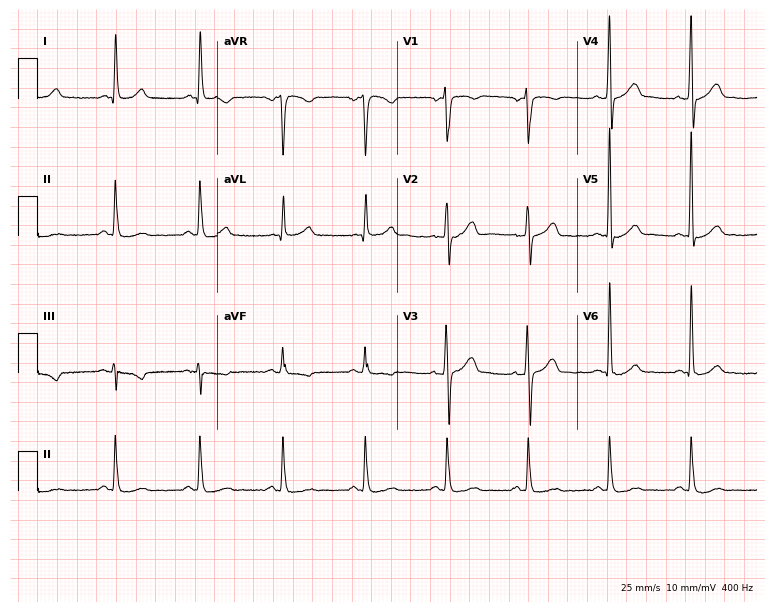
ECG — a male, 55 years old. Screened for six findings — first-degree AV block, right bundle branch block (RBBB), left bundle branch block (LBBB), sinus bradycardia, atrial fibrillation (AF), sinus tachycardia — none is recorded. Only these six findings were labelled.